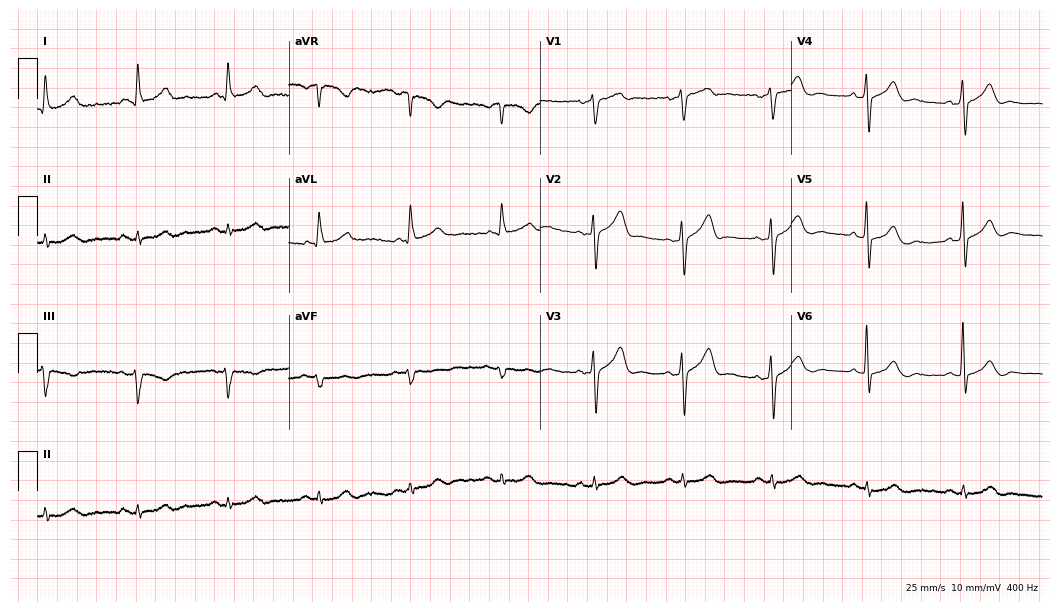
Standard 12-lead ECG recorded from a 67-year-old man. Read as a normal ECG.